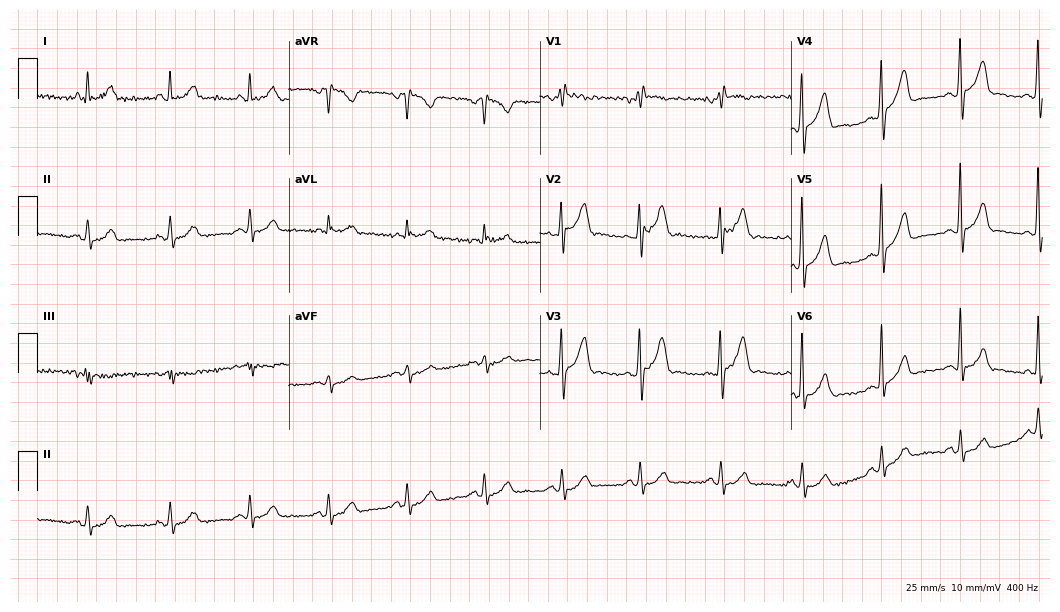
Resting 12-lead electrocardiogram (10.2-second recording at 400 Hz). Patient: a male, 45 years old. Read as a normal ECG.